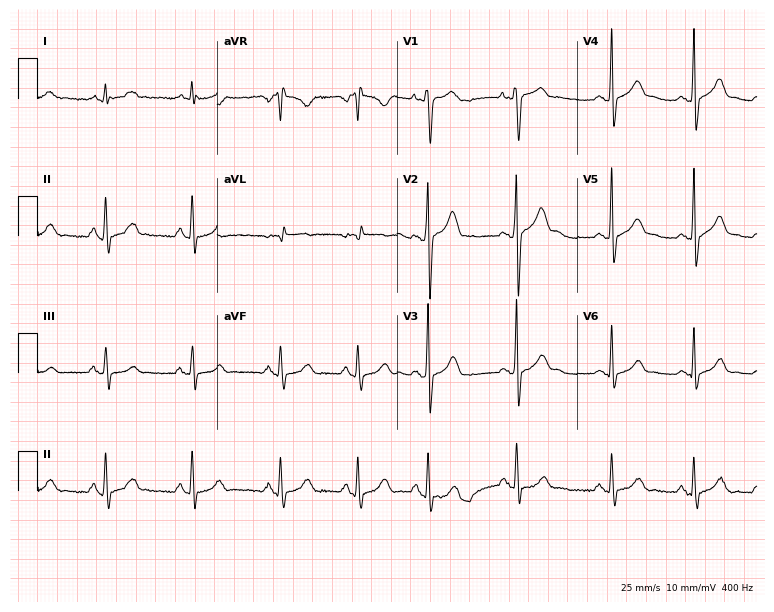
Electrocardiogram, a male patient, 17 years old. Overall reading on record: normal ECG.